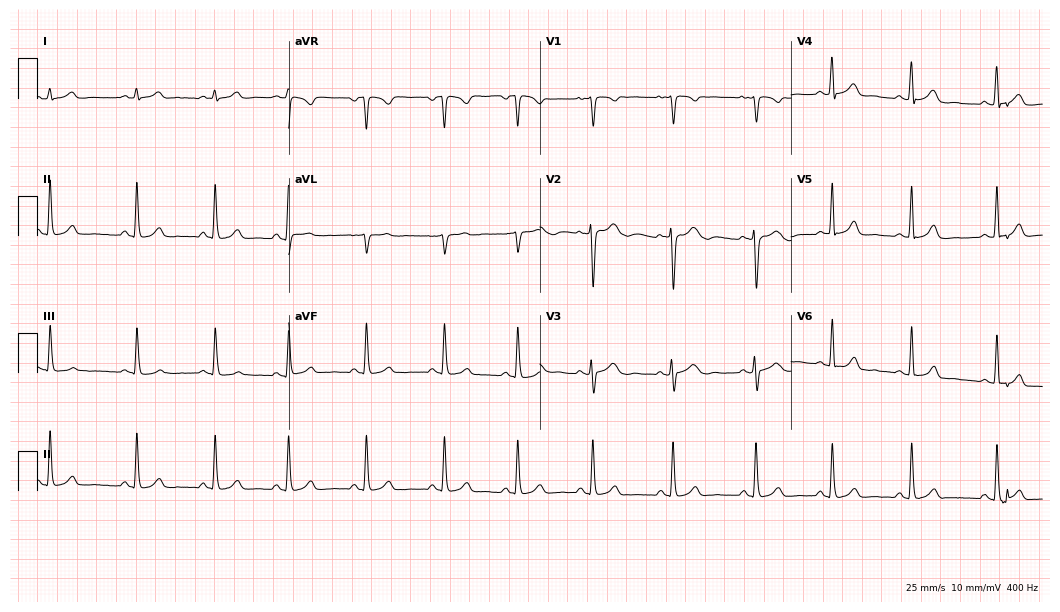
Resting 12-lead electrocardiogram. Patient: a 28-year-old female. Read as a normal ECG.